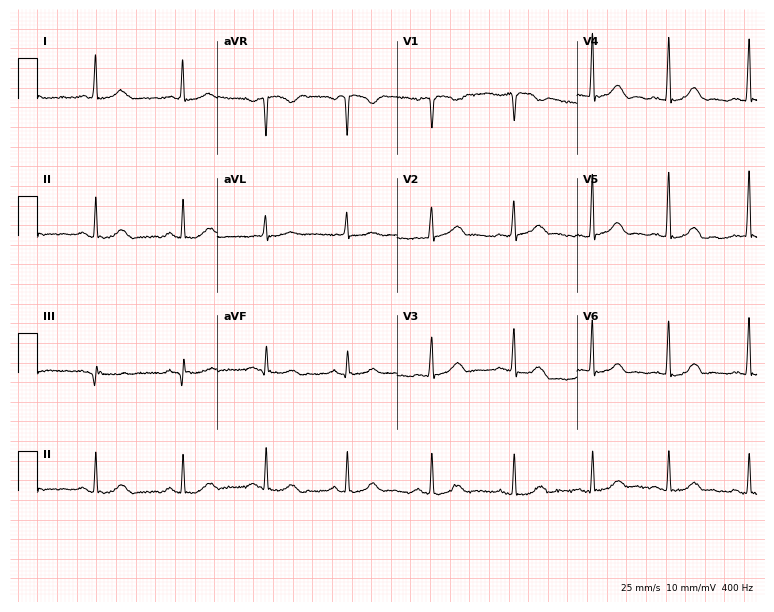
12-lead ECG from a 59-year-old female patient (7.3-second recording at 400 Hz). Recorded interpretation: within normal limits.